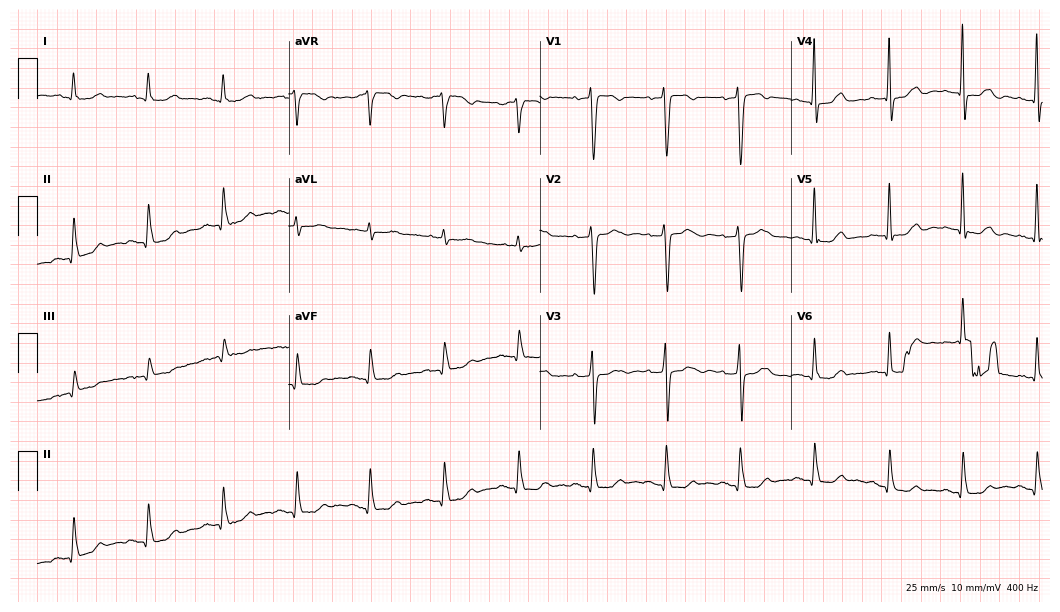
12-lead ECG (10.2-second recording at 400 Hz) from a 61-year-old female patient. Screened for six findings — first-degree AV block, right bundle branch block, left bundle branch block, sinus bradycardia, atrial fibrillation, sinus tachycardia — none is recorded.